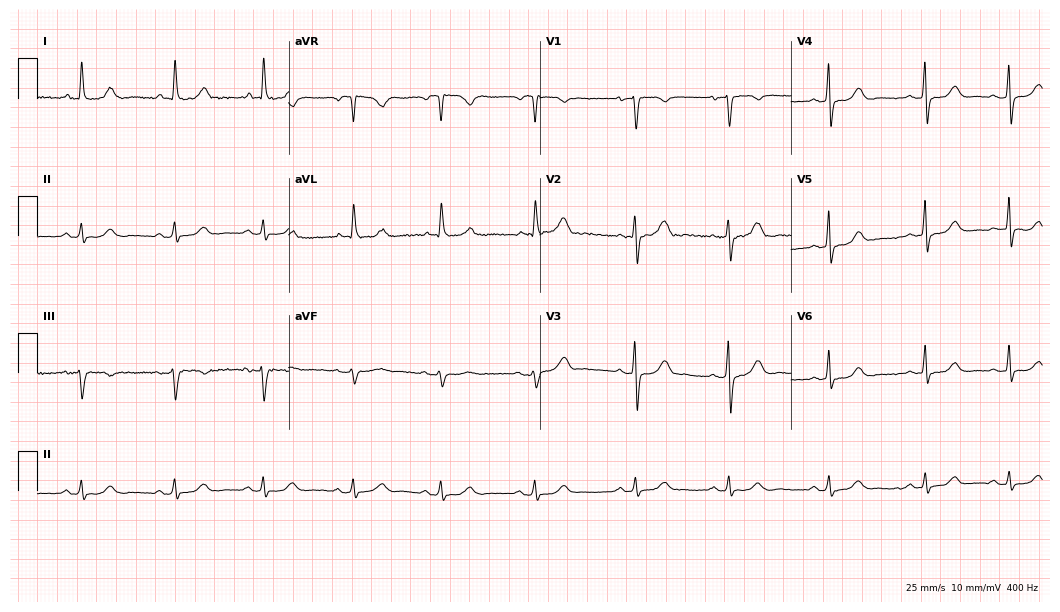
12-lead ECG from a female, 56 years old (10.2-second recording at 400 Hz). Recorded interpretation: within normal limits.